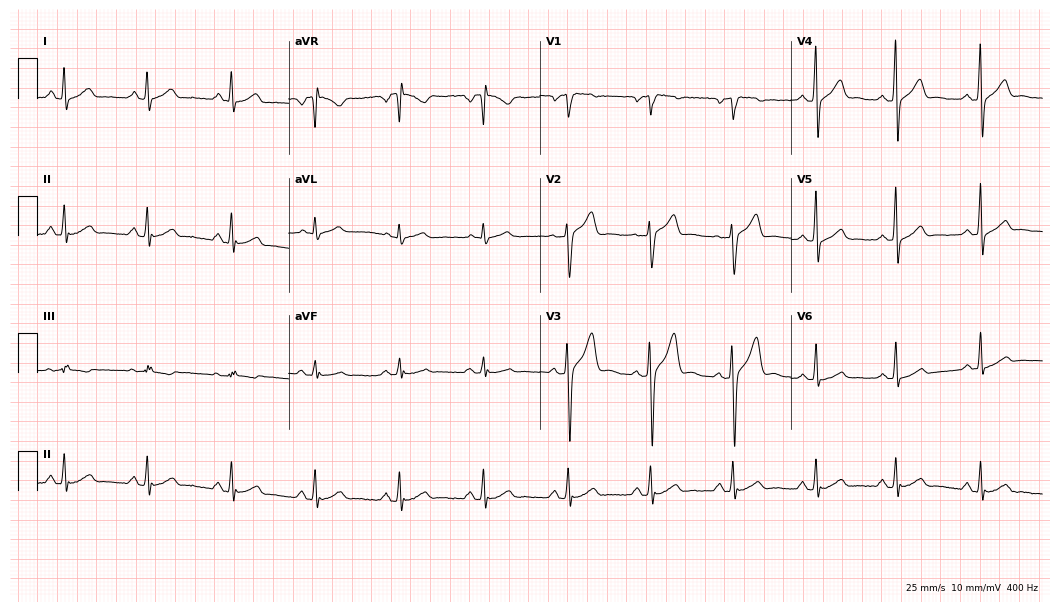
Resting 12-lead electrocardiogram. Patient: a 39-year-old male. Read as a normal ECG.